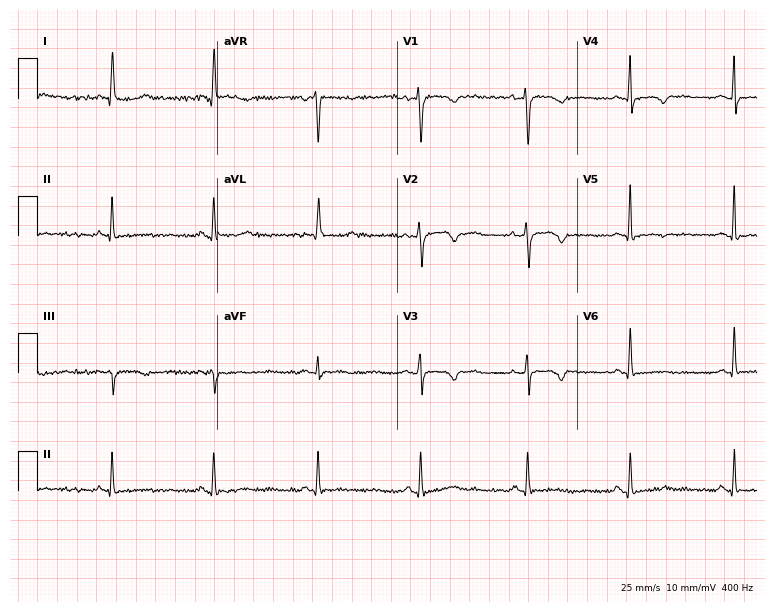
Resting 12-lead electrocardiogram. Patient: a female, 42 years old. None of these six findings is recorded: first-degree AV block, right bundle branch block, left bundle branch block, sinus bradycardia, atrial fibrillation, sinus tachycardia. Findings outside these six are not listed.